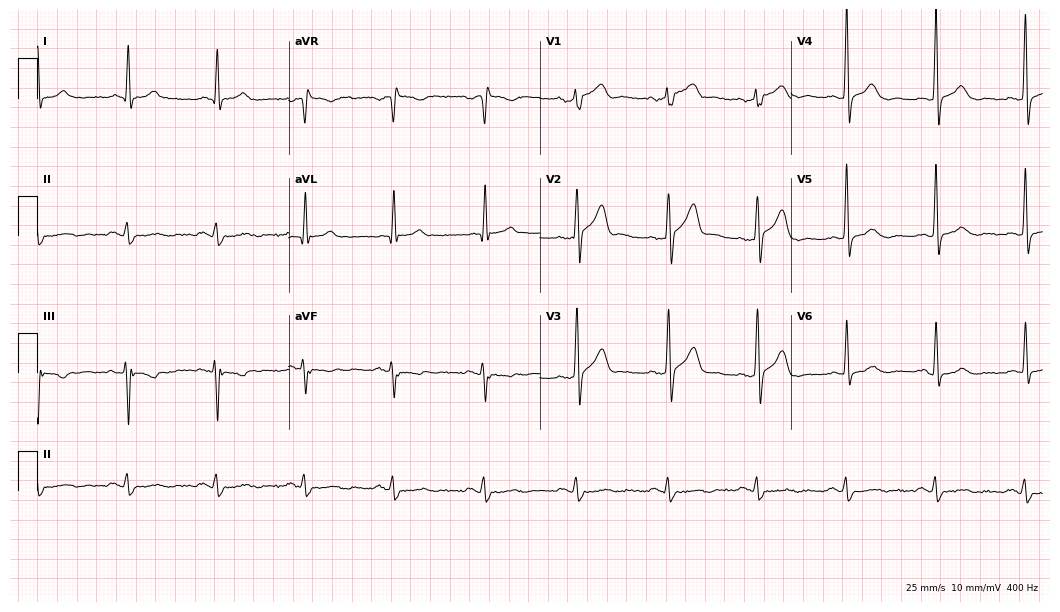
Electrocardiogram (10.2-second recording at 400 Hz), a female patient, 55 years old. Of the six screened findings (first-degree AV block, right bundle branch block (RBBB), left bundle branch block (LBBB), sinus bradycardia, atrial fibrillation (AF), sinus tachycardia), none is recorded. Other findings, if any, are not listed.